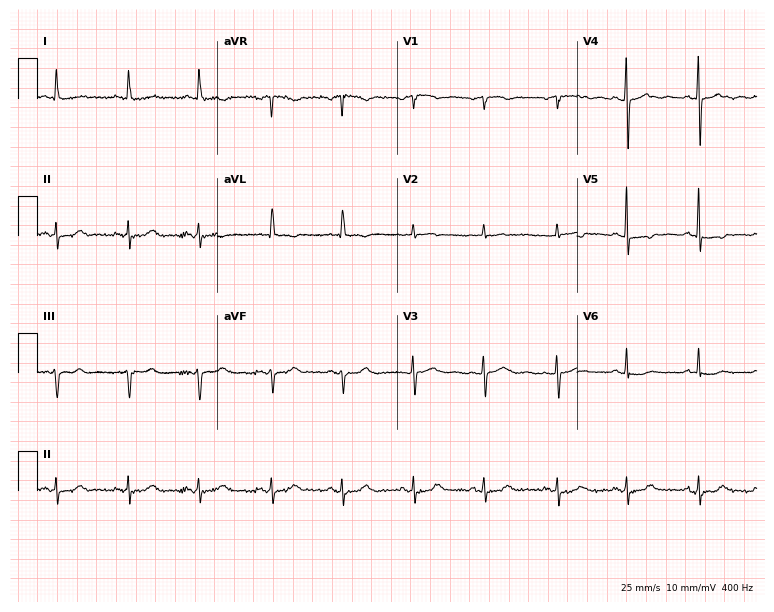
Resting 12-lead electrocardiogram. Patient: a female, 76 years old. None of these six findings is recorded: first-degree AV block, right bundle branch block, left bundle branch block, sinus bradycardia, atrial fibrillation, sinus tachycardia. Other findings, if any, are not listed.